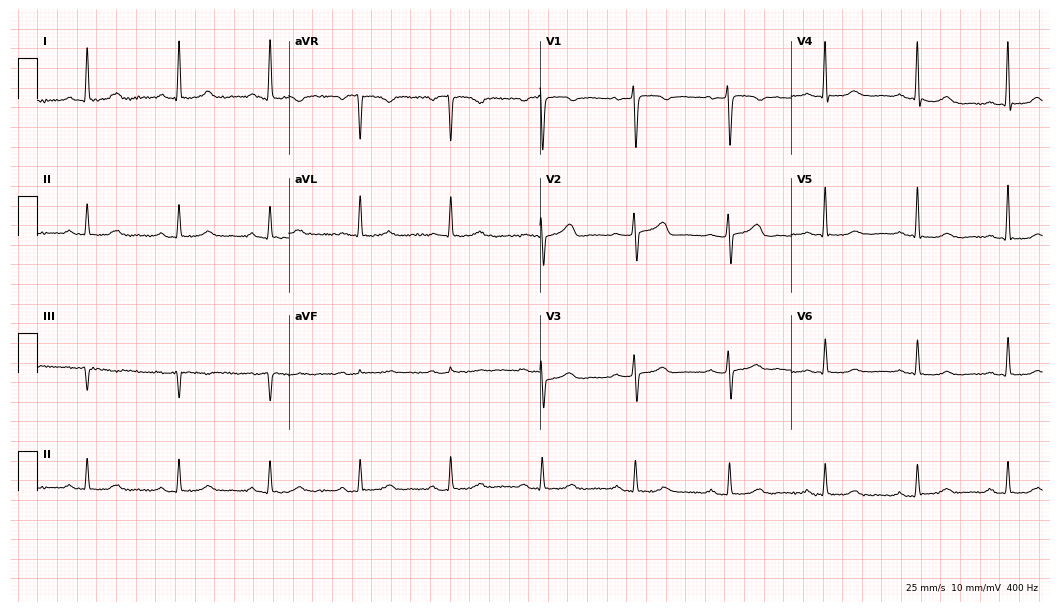
Standard 12-lead ECG recorded from a woman, 67 years old. Read as a normal ECG.